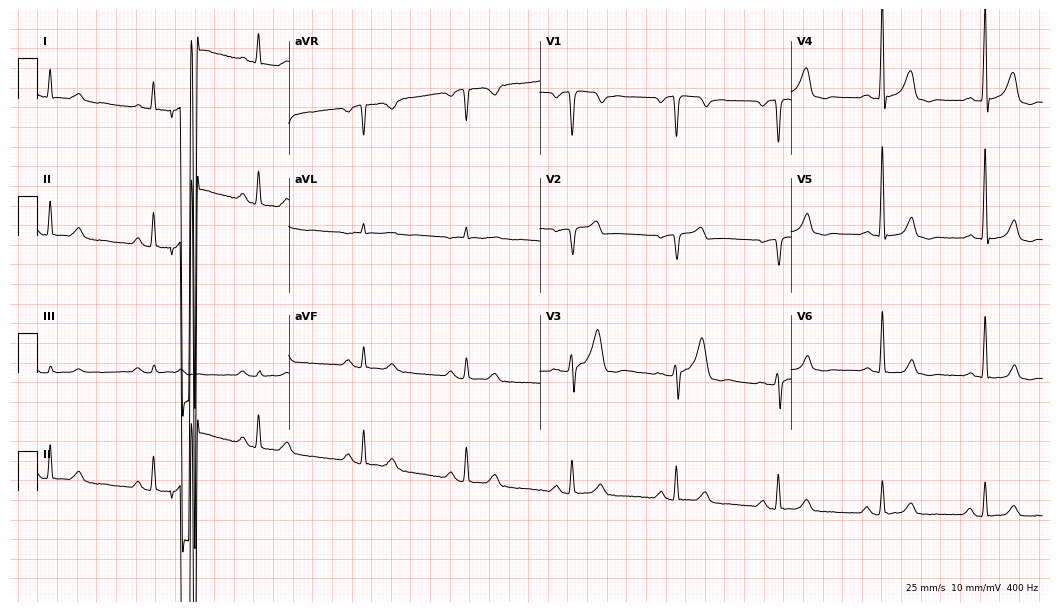
12-lead ECG from a 53-year-old man (10.2-second recording at 400 Hz). Recorded interpretation: within normal limits.